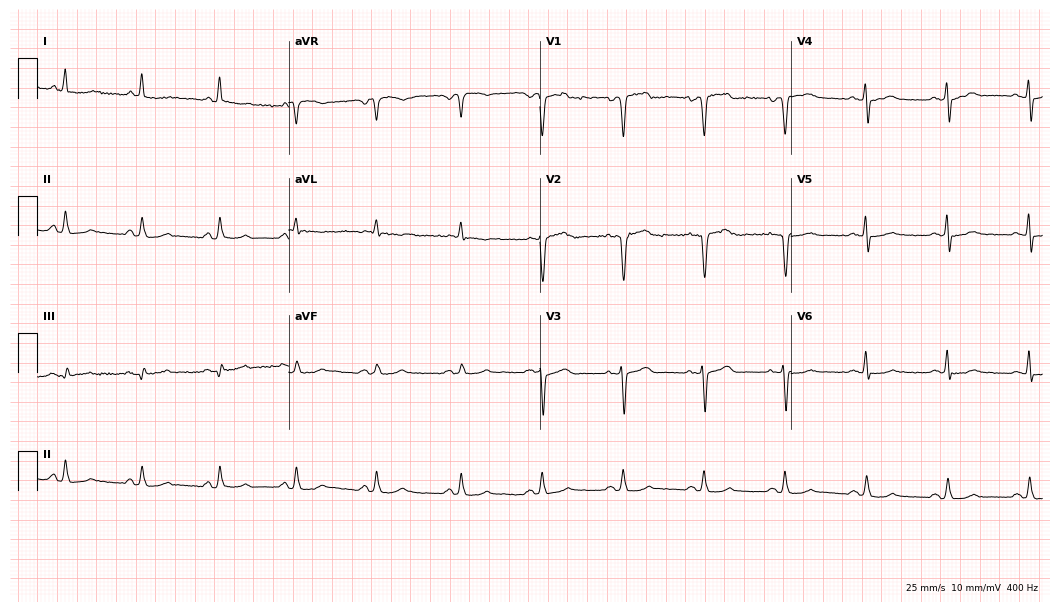
12-lead ECG from a 55-year-old male patient. No first-degree AV block, right bundle branch block (RBBB), left bundle branch block (LBBB), sinus bradycardia, atrial fibrillation (AF) or sinus tachycardia recorded for this tracing. Other findings, if any, are not listed.